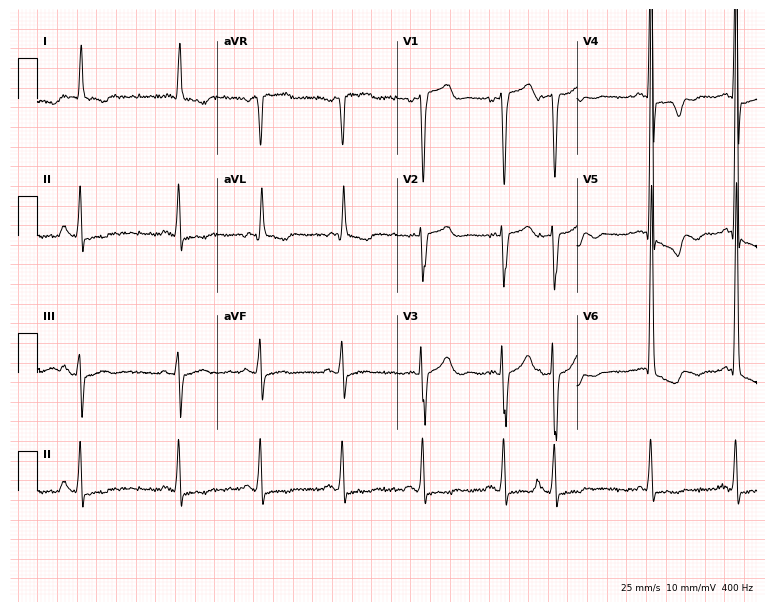
12-lead ECG from a 76-year-old male (7.3-second recording at 400 Hz). No first-degree AV block, right bundle branch block, left bundle branch block, sinus bradycardia, atrial fibrillation or sinus tachycardia recorded for this tracing. Findings outside these six are not listed.